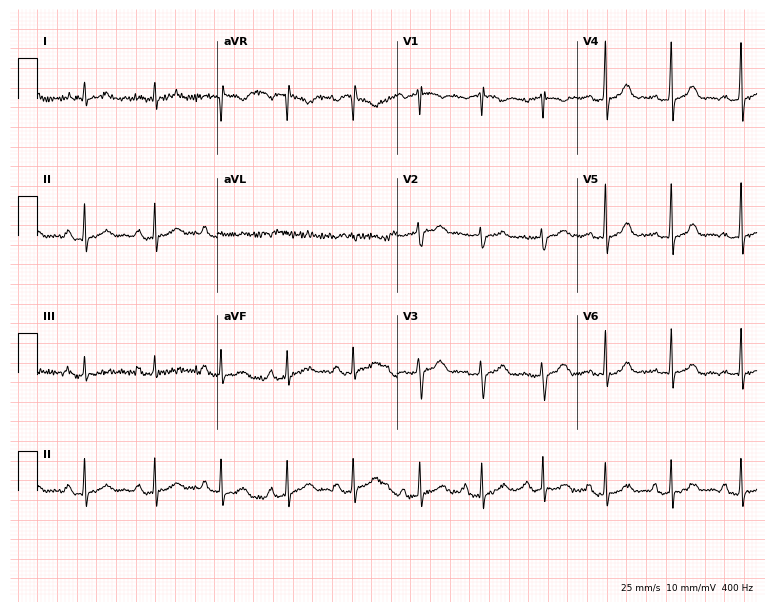
Standard 12-lead ECG recorded from a female patient, 30 years old (7.3-second recording at 400 Hz). None of these six findings is recorded: first-degree AV block, right bundle branch block, left bundle branch block, sinus bradycardia, atrial fibrillation, sinus tachycardia.